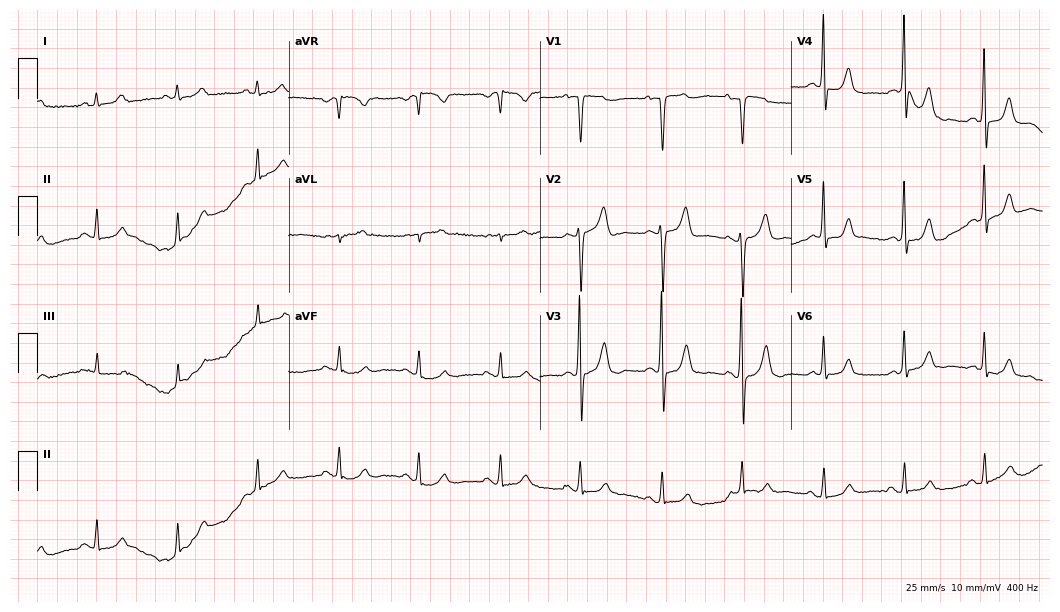
Electrocardiogram, an 85-year-old male. Overall reading on record: normal ECG.